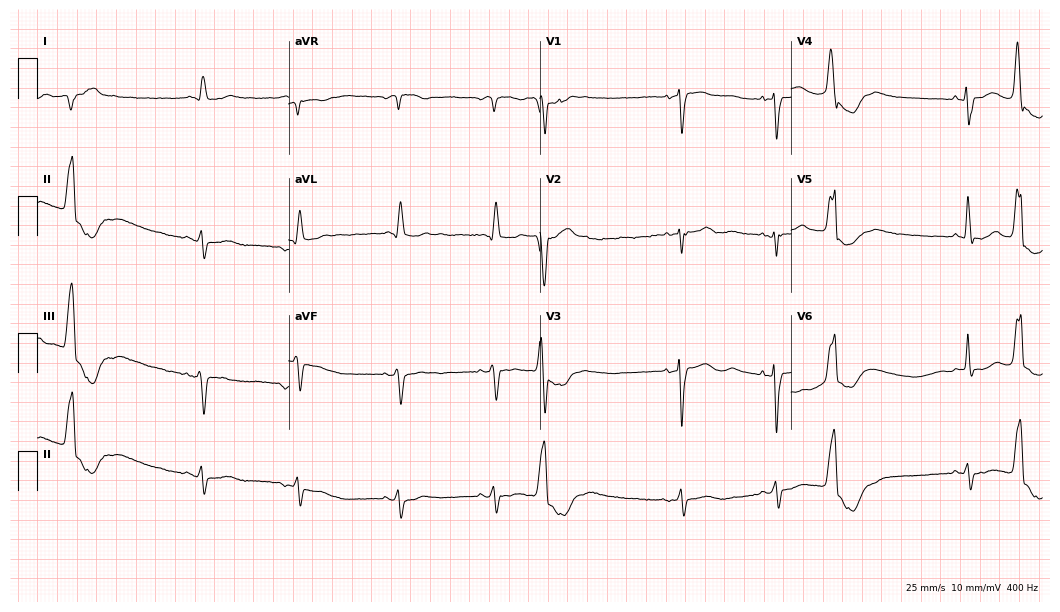
12-lead ECG from a female patient, 80 years old. Screened for six findings — first-degree AV block, right bundle branch block, left bundle branch block, sinus bradycardia, atrial fibrillation, sinus tachycardia — none is recorded. Findings outside these six are not listed.